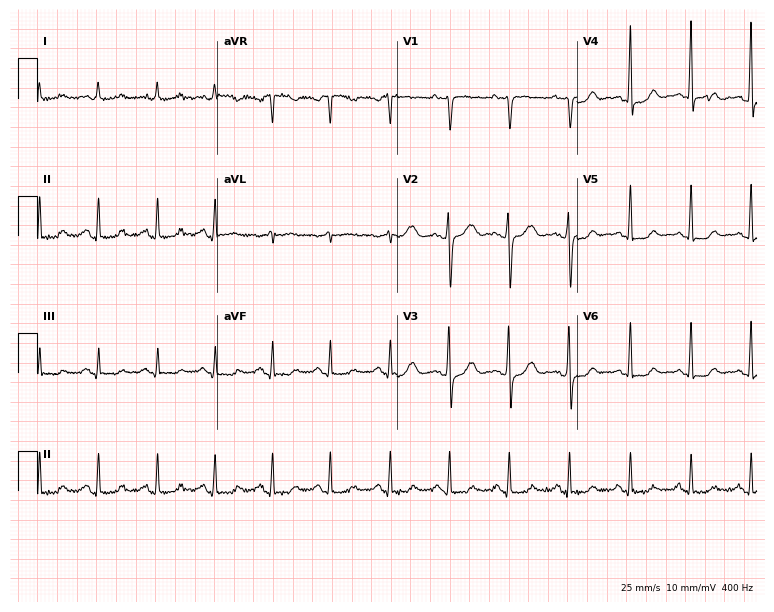
Electrocardiogram (7.3-second recording at 400 Hz), a 48-year-old female patient. Of the six screened findings (first-degree AV block, right bundle branch block, left bundle branch block, sinus bradycardia, atrial fibrillation, sinus tachycardia), none is recorded.